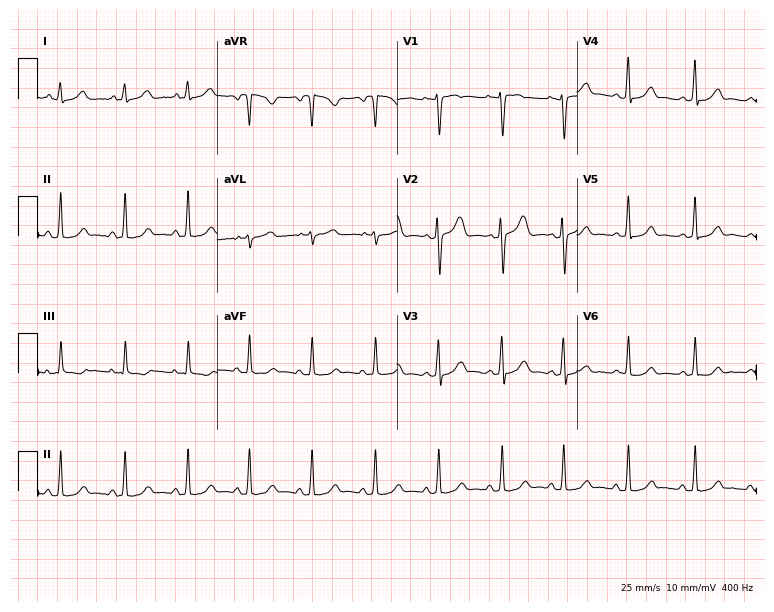
12-lead ECG from a 22-year-old female patient (7.3-second recording at 400 Hz). No first-degree AV block, right bundle branch block (RBBB), left bundle branch block (LBBB), sinus bradycardia, atrial fibrillation (AF) or sinus tachycardia recorded for this tracing. Only these six findings were labelled.